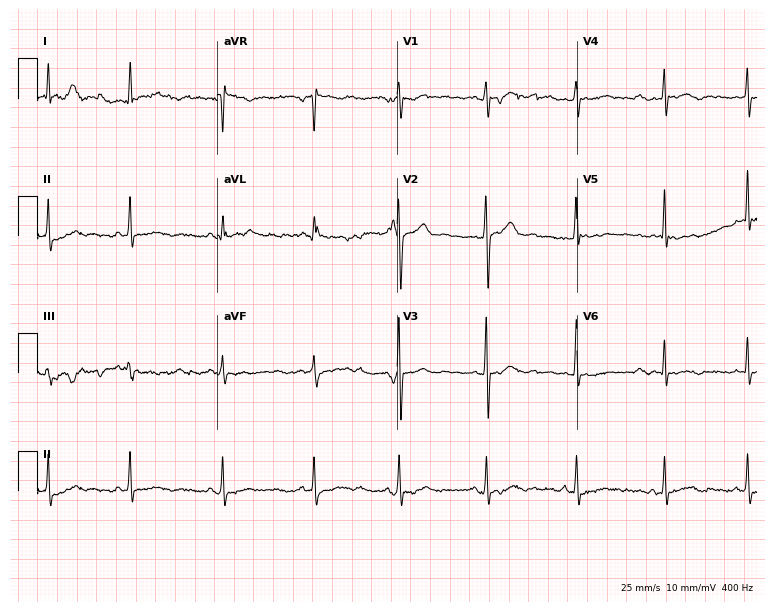
ECG — a male patient, 46 years old. Screened for six findings — first-degree AV block, right bundle branch block (RBBB), left bundle branch block (LBBB), sinus bradycardia, atrial fibrillation (AF), sinus tachycardia — none is recorded.